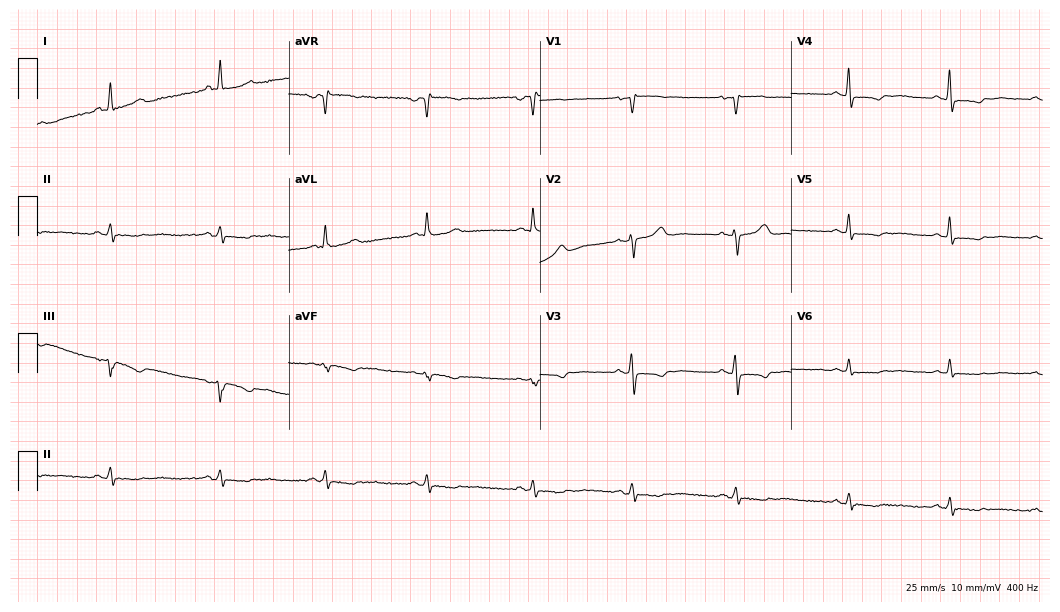
12-lead ECG from a female patient, 59 years old (10.2-second recording at 400 Hz). No first-degree AV block, right bundle branch block (RBBB), left bundle branch block (LBBB), sinus bradycardia, atrial fibrillation (AF) or sinus tachycardia recorded for this tracing.